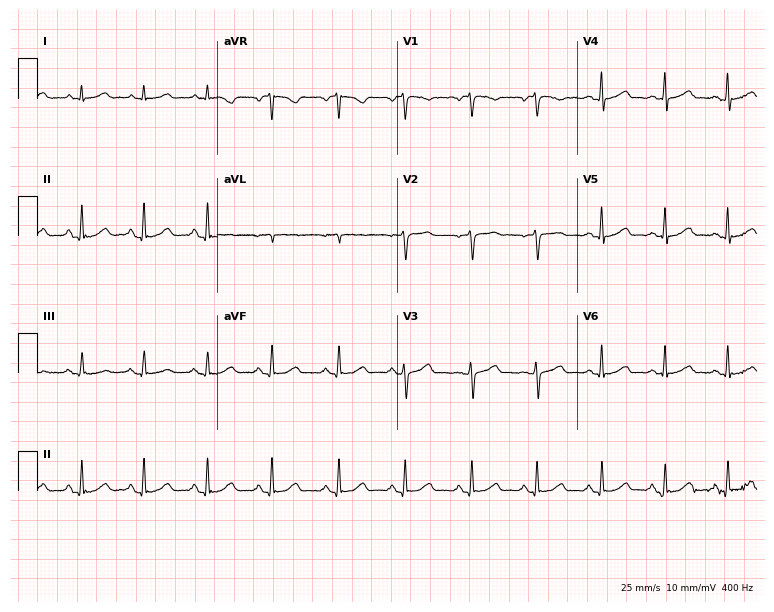
ECG (7.3-second recording at 400 Hz) — a 58-year-old female patient. Labelled as a normal ECG.